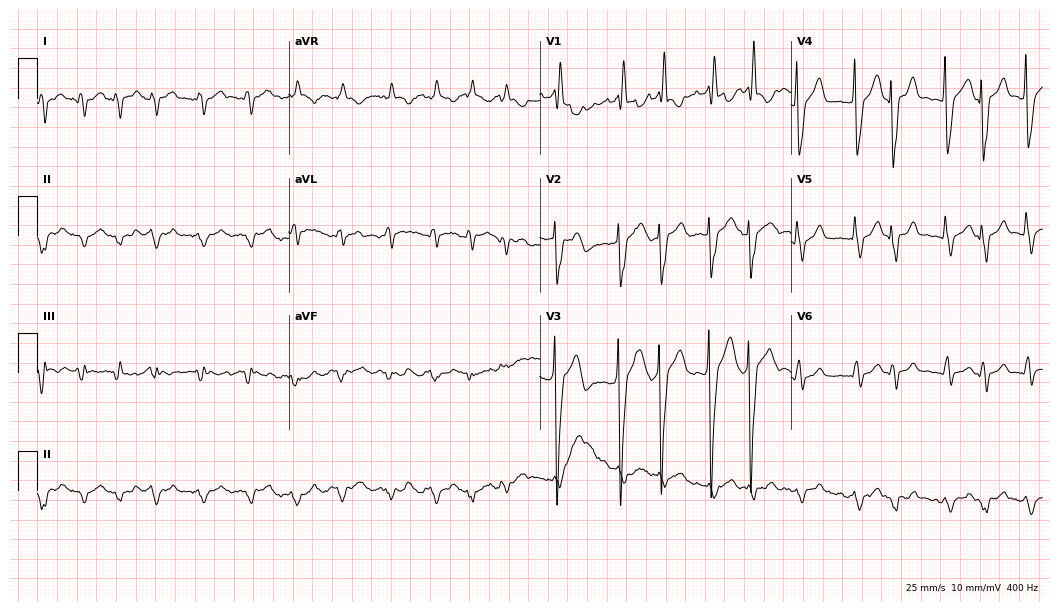
12-lead ECG from a 74-year-old male. Shows right bundle branch block (RBBB), atrial fibrillation (AF), sinus tachycardia (a sinus rate of 100 beats per minute or more).